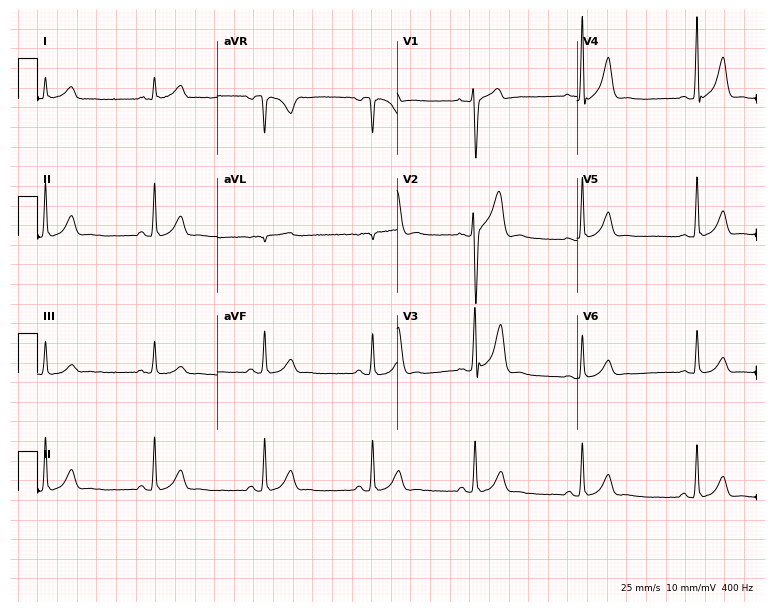
Standard 12-lead ECG recorded from a 36-year-old male (7.3-second recording at 400 Hz). None of these six findings is recorded: first-degree AV block, right bundle branch block (RBBB), left bundle branch block (LBBB), sinus bradycardia, atrial fibrillation (AF), sinus tachycardia. Other findings, if any, are not listed.